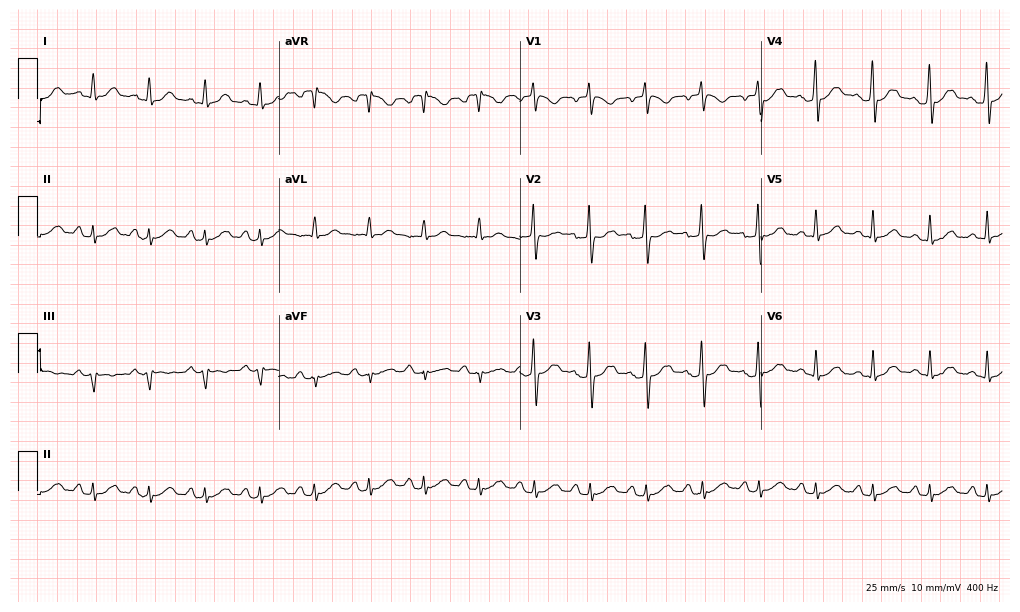
12-lead ECG (9.8-second recording at 400 Hz) from a man, 39 years old. Findings include sinus tachycardia (a sinus rate of 100 beats per minute or more).